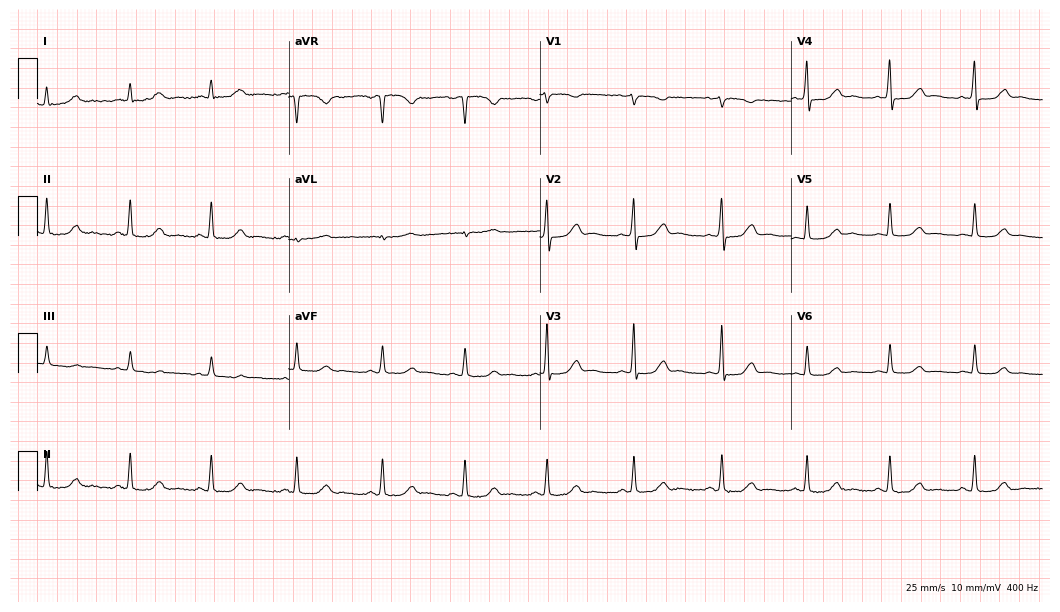
ECG (10.2-second recording at 400 Hz) — a female, 34 years old. Labelled as a normal ECG.